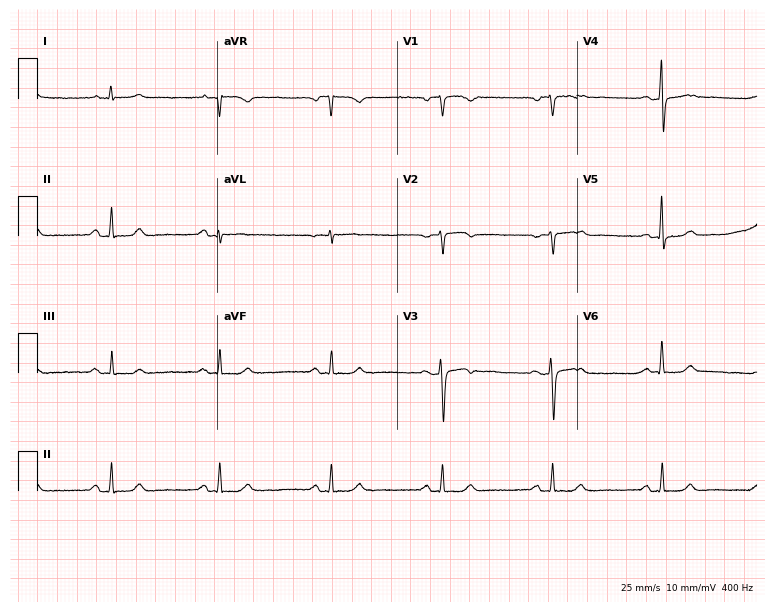
Standard 12-lead ECG recorded from a woman, 62 years old. Read as a normal ECG.